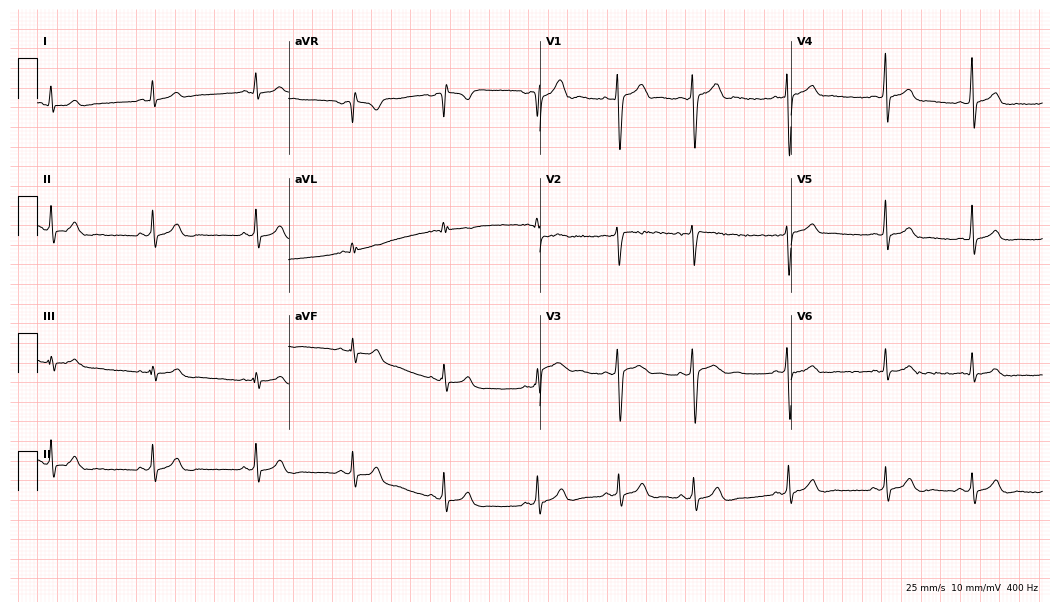
12-lead ECG from a 23-year-old male patient. Recorded interpretation: within normal limits.